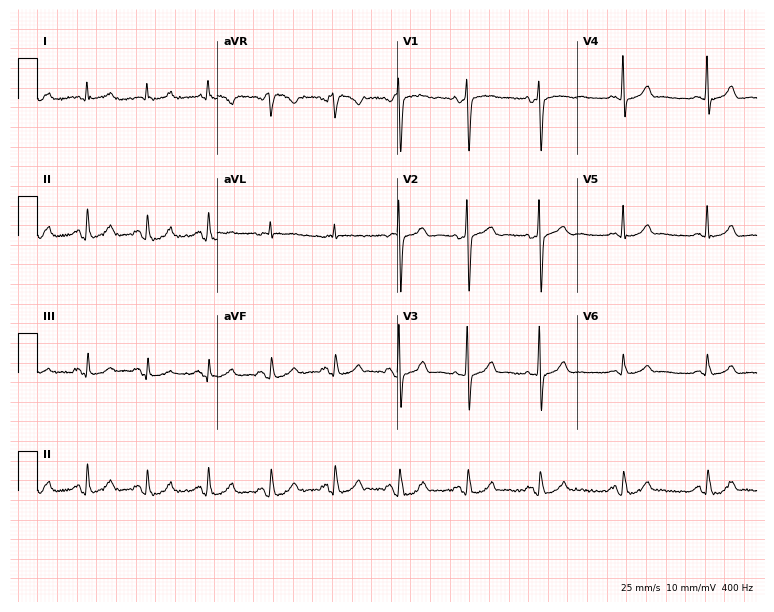
Electrocardiogram, a woman, 66 years old. Overall reading on record: normal ECG.